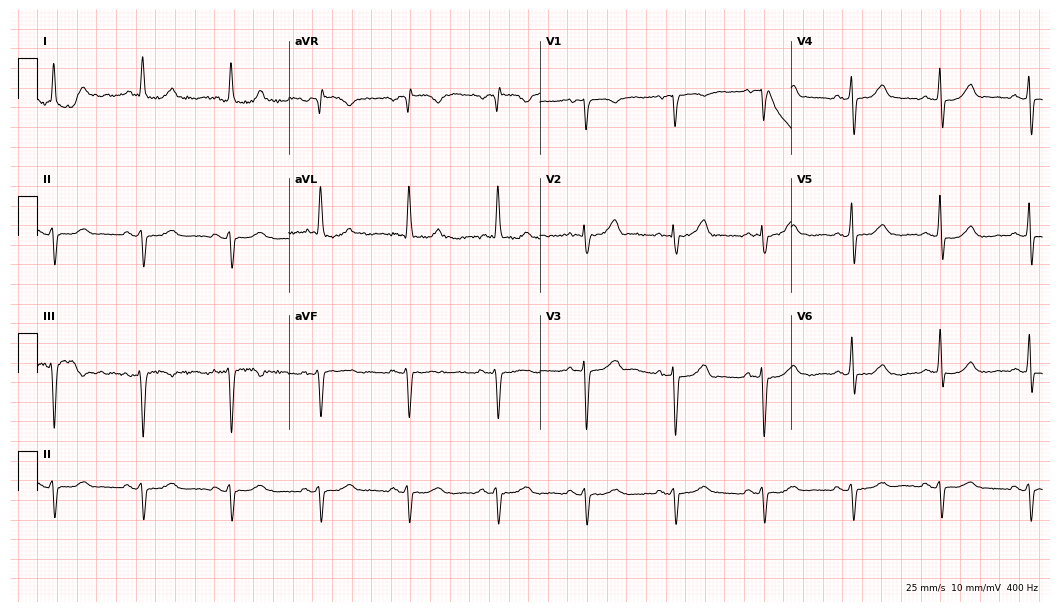
Resting 12-lead electrocardiogram (10.2-second recording at 400 Hz). Patient: an 82-year-old woman. None of these six findings is recorded: first-degree AV block, right bundle branch block, left bundle branch block, sinus bradycardia, atrial fibrillation, sinus tachycardia.